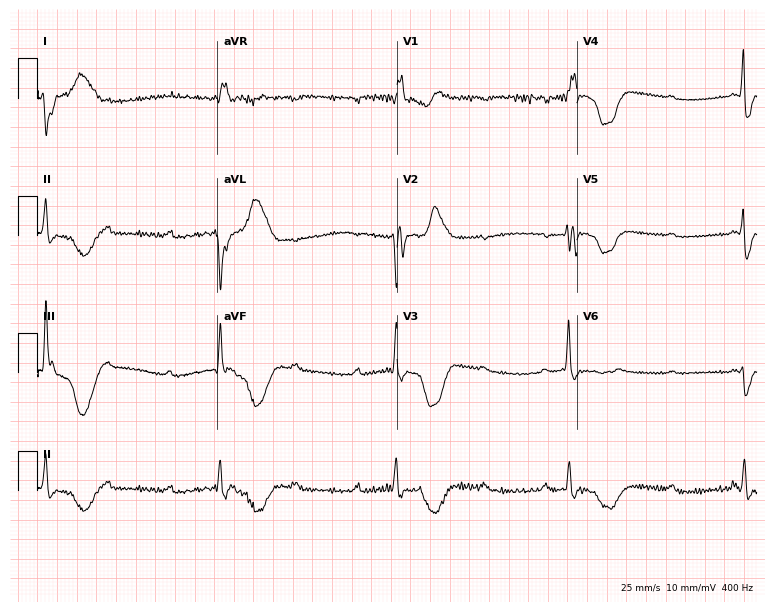
ECG — a man, 37 years old. Screened for six findings — first-degree AV block, right bundle branch block (RBBB), left bundle branch block (LBBB), sinus bradycardia, atrial fibrillation (AF), sinus tachycardia — none is recorded.